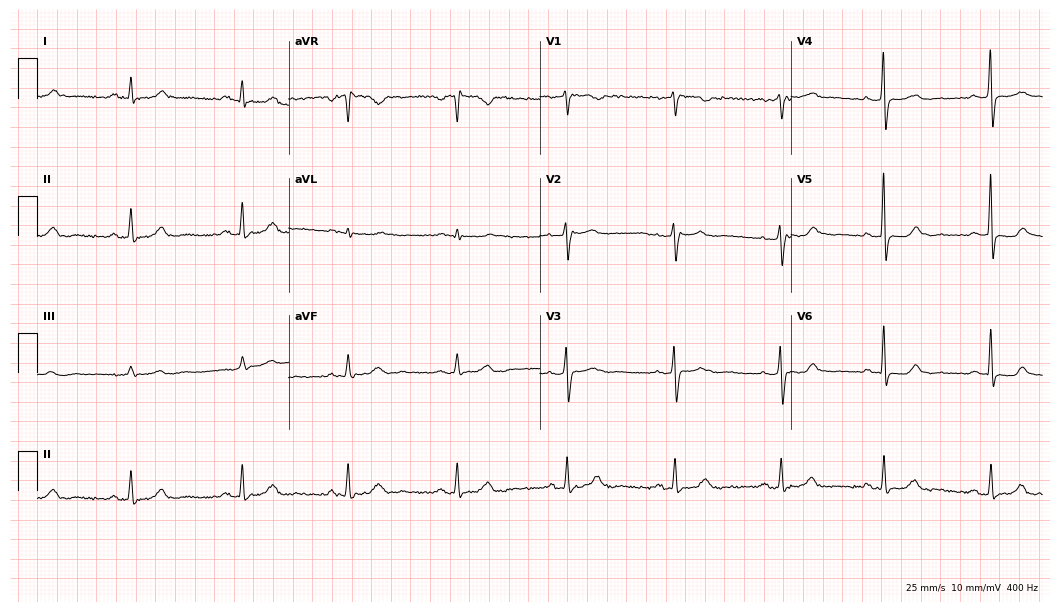
12-lead ECG from a woman, 61 years old. No first-degree AV block, right bundle branch block, left bundle branch block, sinus bradycardia, atrial fibrillation or sinus tachycardia recorded for this tracing. Other findings, if any, are not listed.